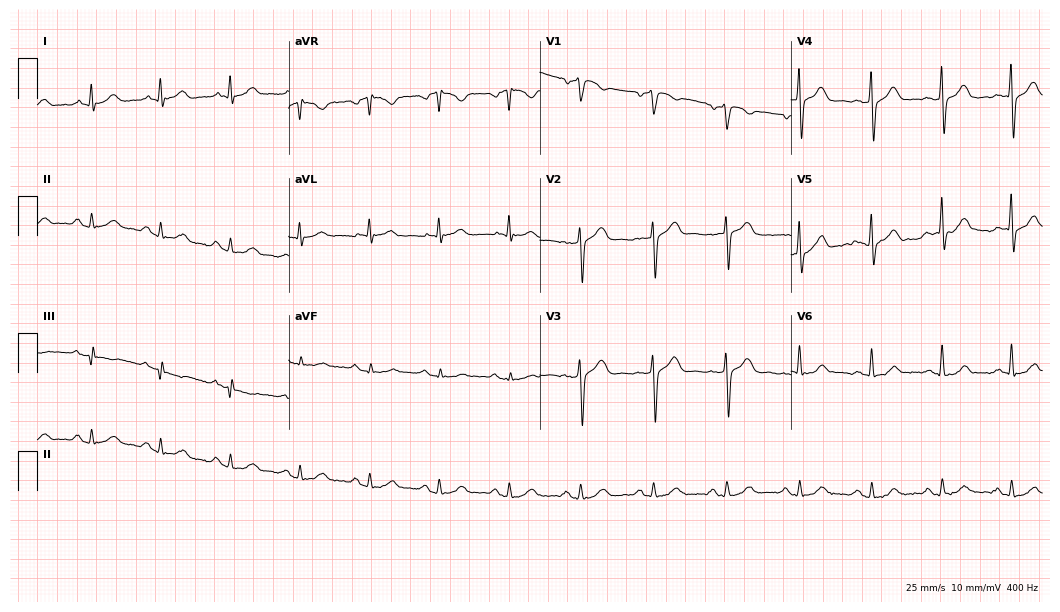
Electrocardiogram (10.2-second recording at 400 Hz), a 65-year-old man. Overall reading on record: normal ECG.